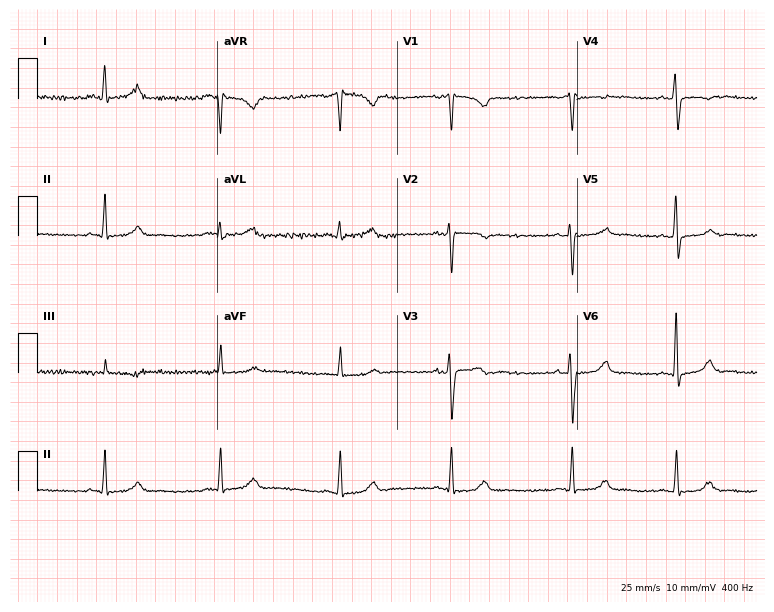
Standard 12-lead ECG recorded from a female patient, 33 years old (7.3-second recording at 400 Hz). None of these six findings is recorded: first-degree AV block, right bundle branch block (RBBB), left bundle branch block (LBBB), sinus bradycardia, atrial fibrillation (AF), sinus tachycardia.